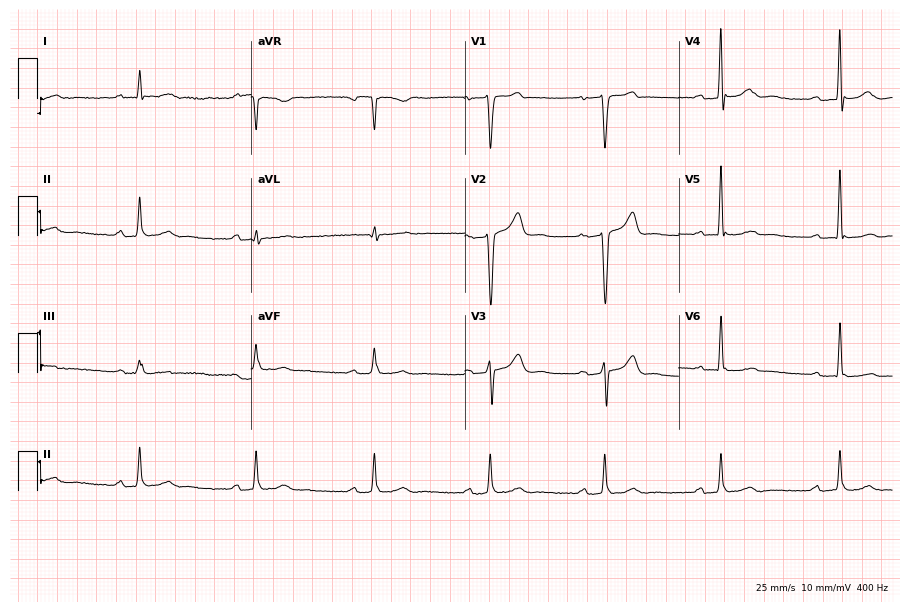
Resting 12-lead electrocardiogram (8.7-second recording at 400 Hz). Patient: a 48-year-old man. The tracing shows first-degree AV block.